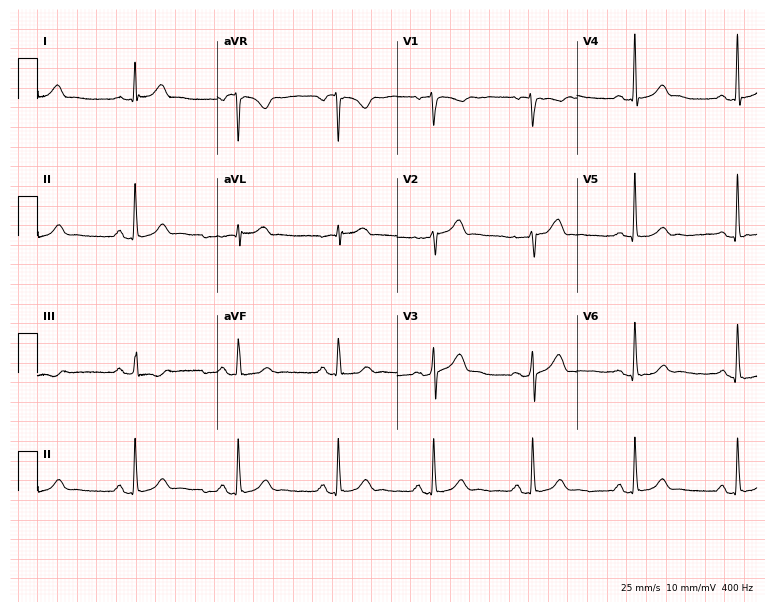
Resting 12-lead electrocardiogram. Patient: a 52-year-old female. Read as a normal ECG.